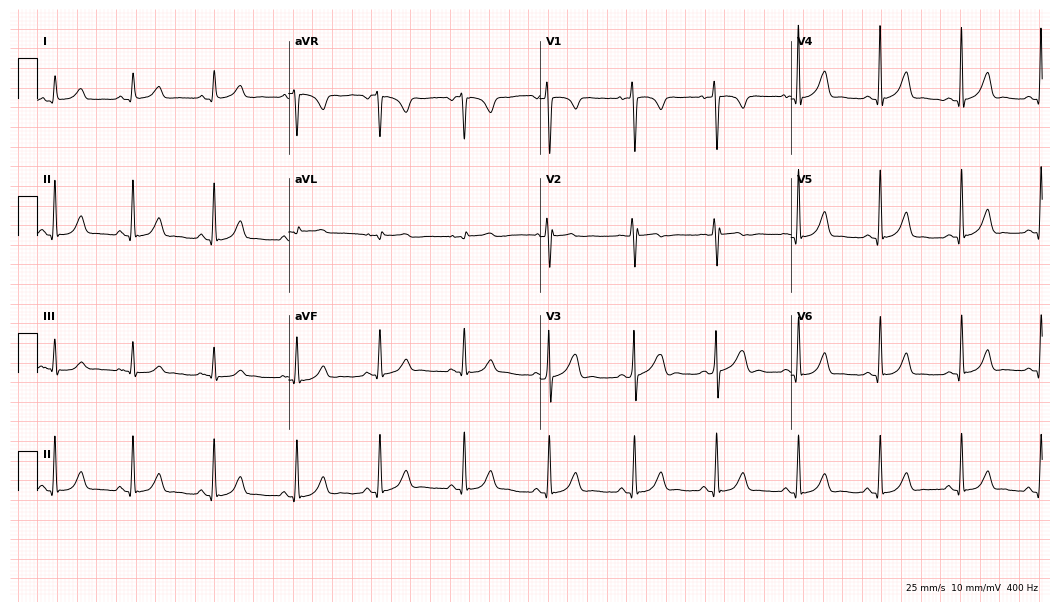
Resting 12-lead electrocardiogram (10.2-second recording at 400 Hz). Patient: a 64-year-old male. Read as a normal ECG.